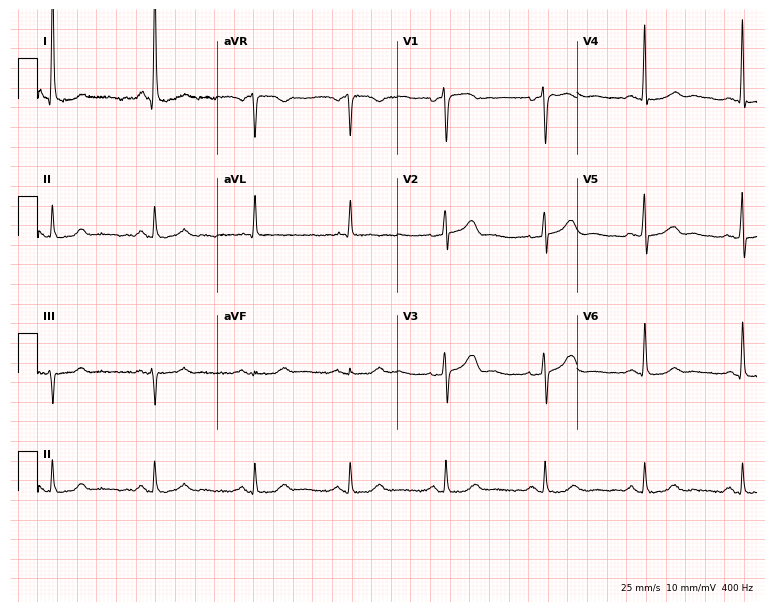
ECG (7.3-second recording at 400 Hz) — a male patient, 60 years old. Screened for six findings — first-degree AV block, right bundle branch block (RBBB), left bundle branch block (LBBB), sinus bradycardia, atrial fibrillation (AF), sinus tachycardia — none is recorded. Findings outside these six are not listed.